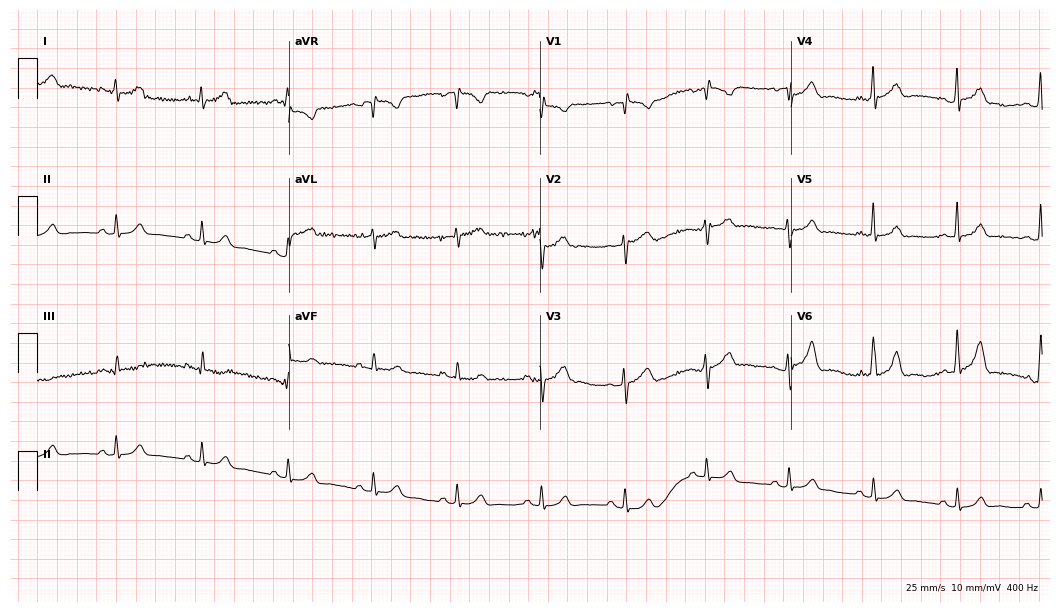
12-lead ECG (10.2-second recording at 400 Hz) from a woman, 33 years old. Screened for six findings — first-degree AV block, right bundle branch block, left bundle branch block, sinus bradycardia, atrial fibrillation, sinus tachycardia — none is recorded.